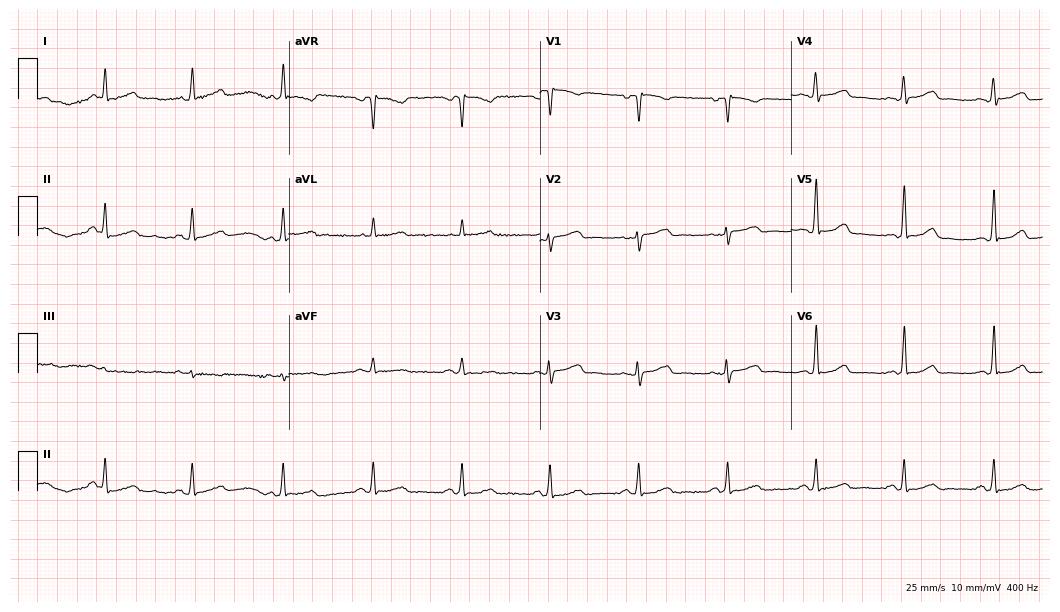
Electrocardiogram, a female, 56 years old. Overall reading on record: normal ECG.